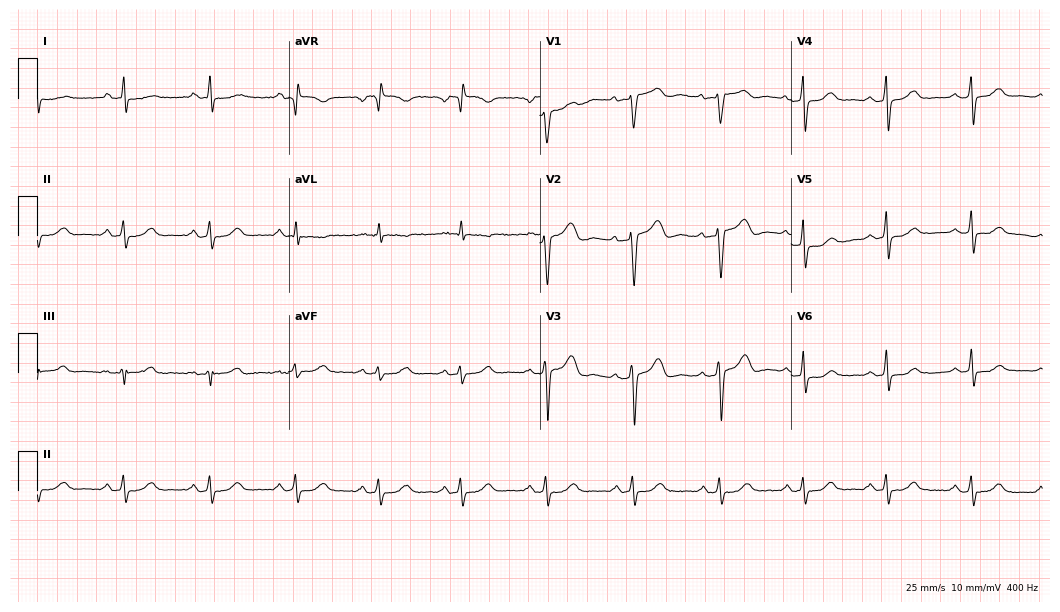
Resting 12-lead electrocardiogram (10.2-second recording at 400 Hz). Patient: a female, 49 years old. Read as a normal ECG.